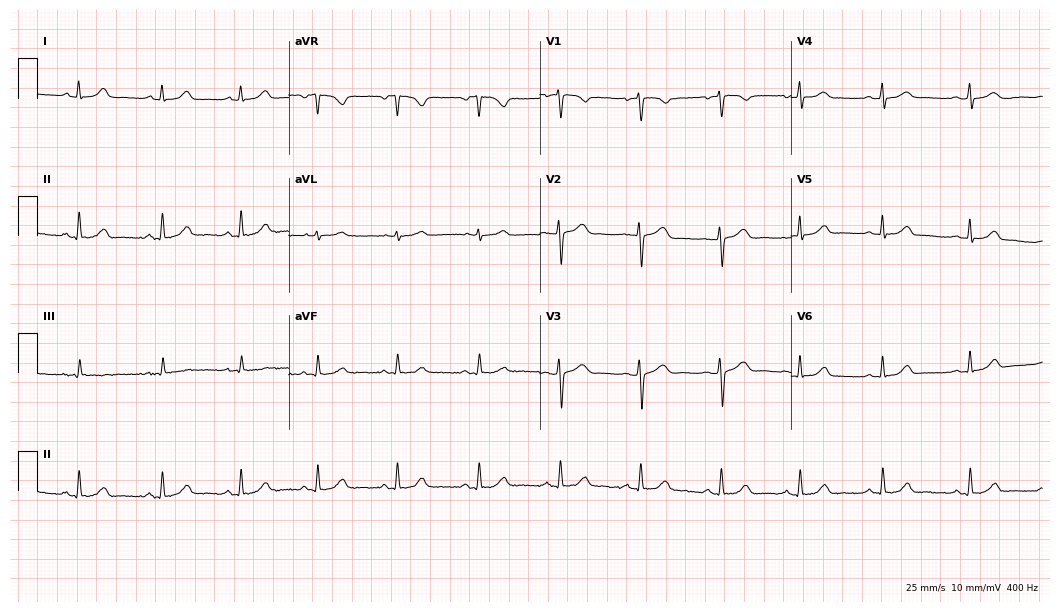
12-lead ECG (10.2-second recording at 400 Hz) from a 35-year-old woman. Labelled as a normal ECG.